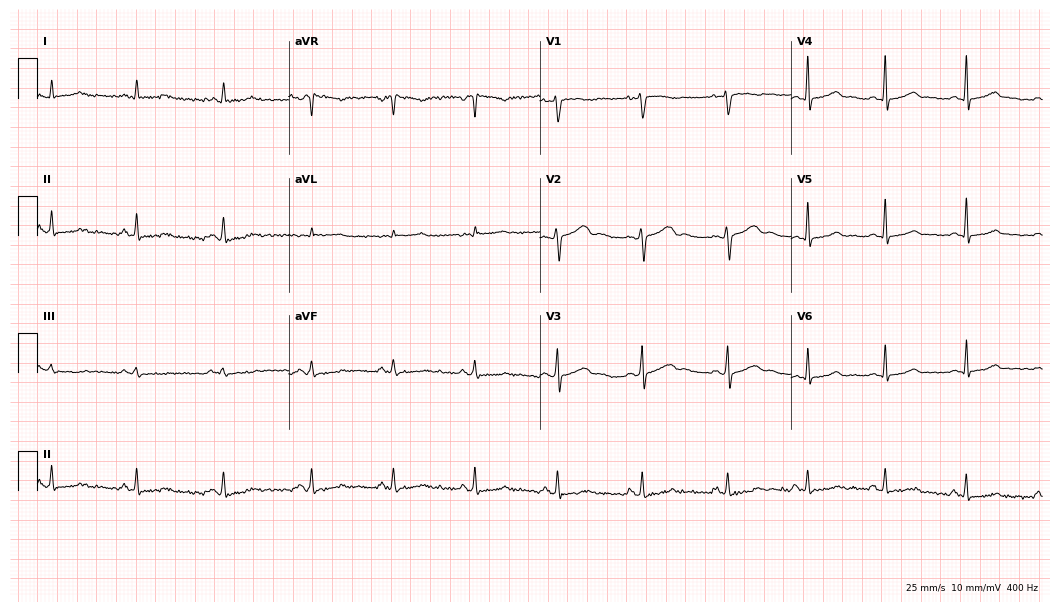
Standard 12-lead ECG recorded from a 33-year-old woman. Read as a normal ECG.